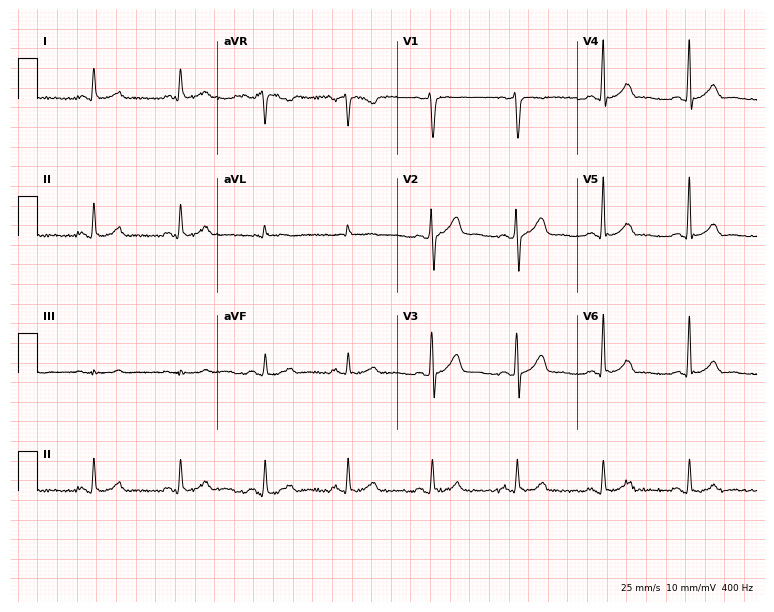
ECG (7.3-second recording at 400 Hz) — a male, 44 years old. Screened for six findings — first-degree AV block, right bundle branch block, left bundle branch block, sinus bradycardia, atrial fibrillation, sinus tachycardia — none is recorded. Findings outside these six are not listed.